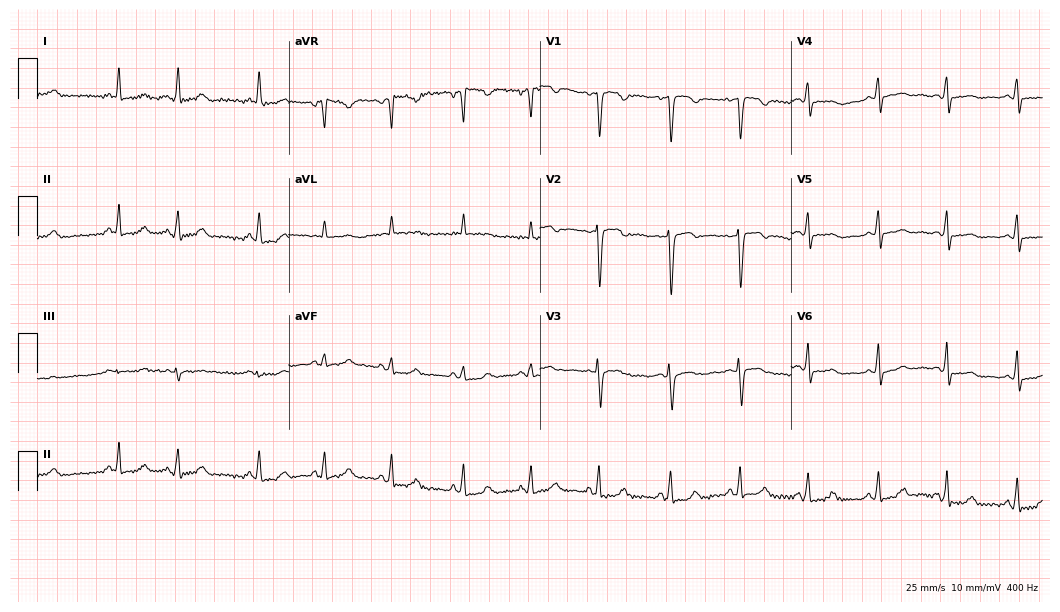
Standard 12-lead ECG recorded from a female patient, 22 years old (10.2-second recording at 400 Hz). Read as a normal ECG.